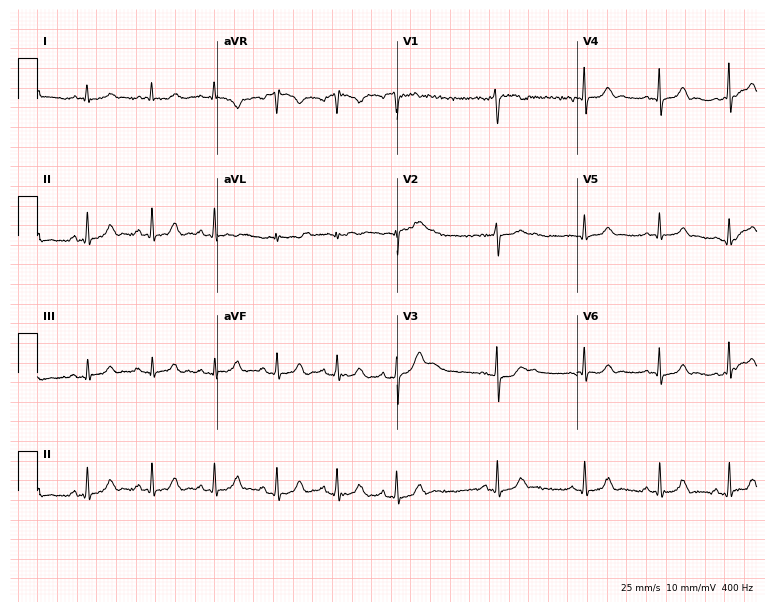
Electrocardiogram, a female, 26 years old. Of the six screened findings (first-degree AV block, right bundle branch block (RBBB), left bundle branch block (LBBB), sinus bradycardia, atrial fibrillation (AF), sinus tachycardia), none is recorded.